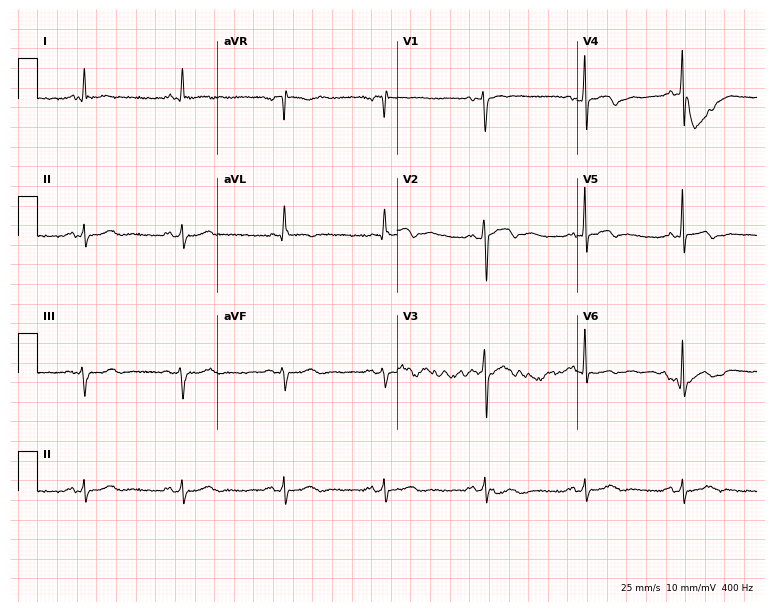
12-lead ECG (7.3-second recording at 400 Hz) from a 48-year-old man. Screened for six findings — first-degree AV block, right bundle branch block, left bundle branch block, sinus bradycardia, atrial fibrillation, sinus tachycardia — none is recorded.